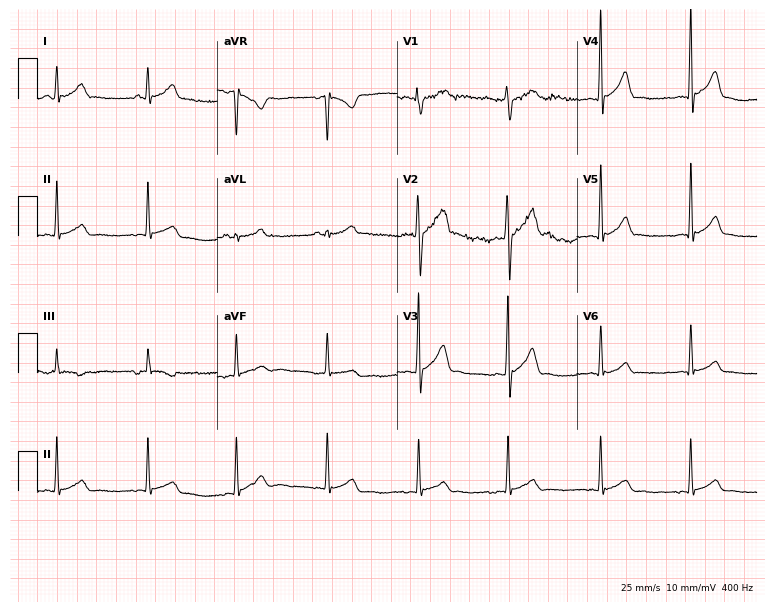
Electrocardiogram (7.3-second recording at 400 Hz), a male patient, 22 years old. Overall reading on record: normal ECG.